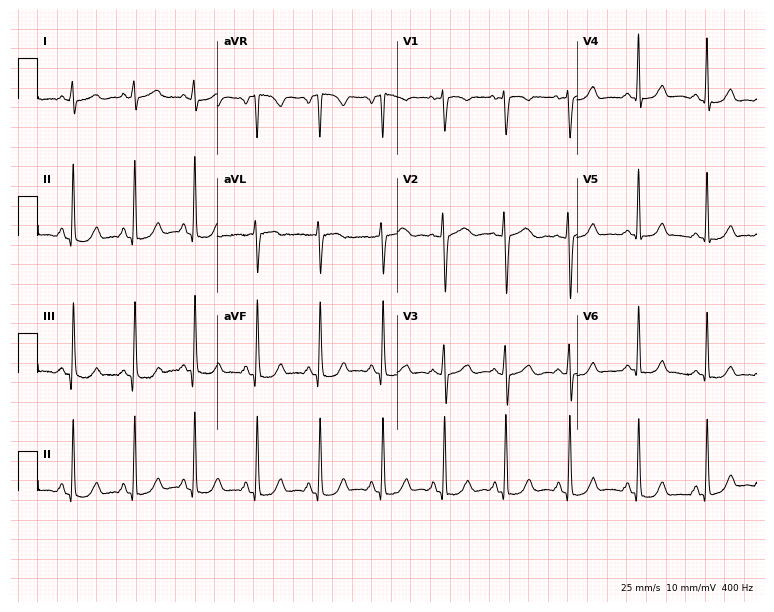
12-lead ECG from a 45-year-old woman. Recorded interpretation: within normal limits.